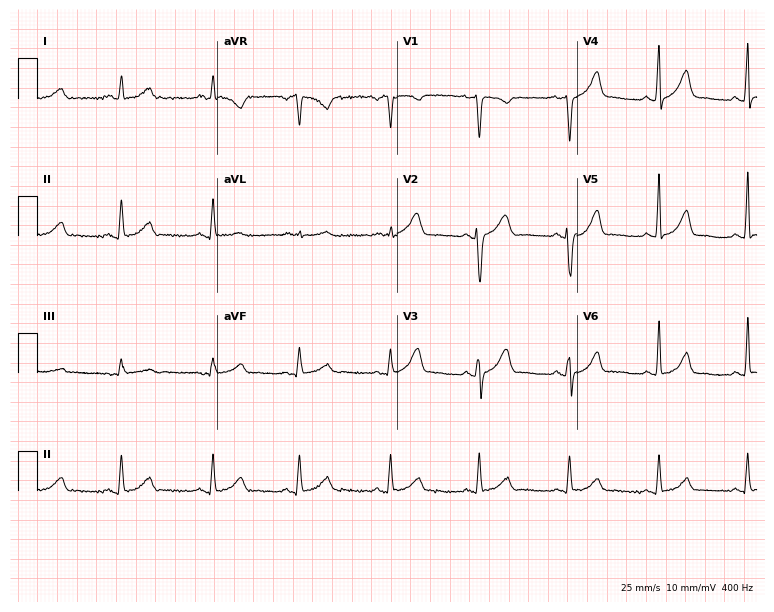
Electrocardiogram, a 41-year-old male. Overall reading on record: normal ECG.